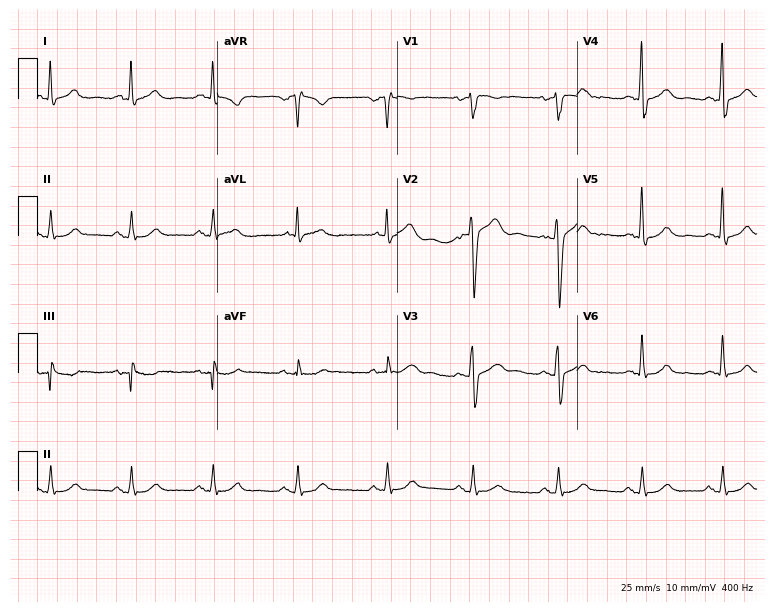
12-lead ECG from a male, 58 years old (7.3-second recording at 400 Hz). Recorded interpretation: within normal limits.